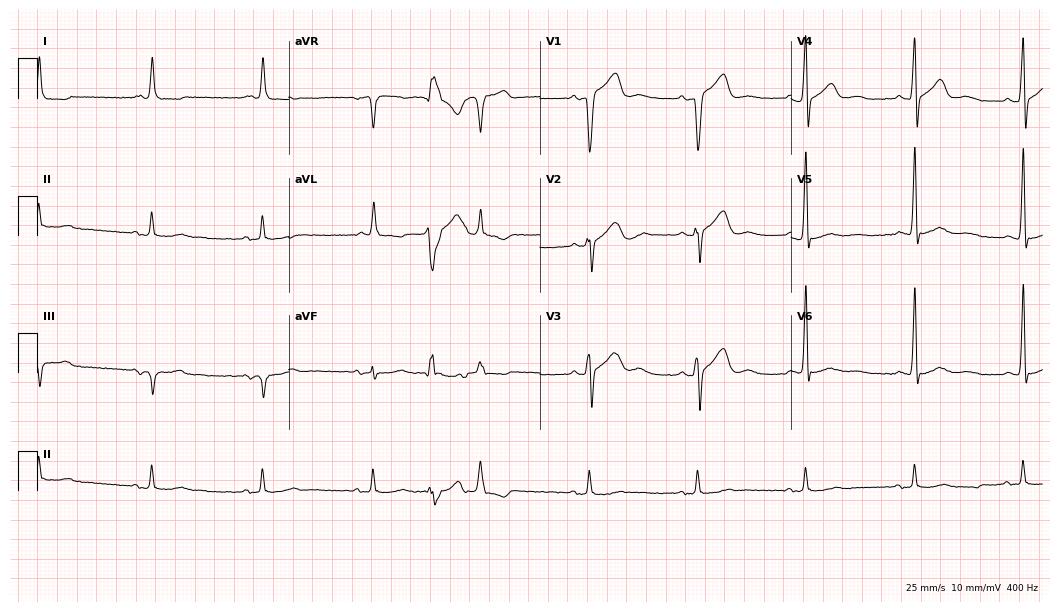
Electrocardiogram (10.2-second recording at 400 Hz), a 63-year-old male patient. Of the six screened findings (first-degree AV block, right bundle branch block (RBBB), left bundle branch block (LBBB), sinus bradycardia, atrial fibrillation (AF), sinus tachycardia), none is recorded.